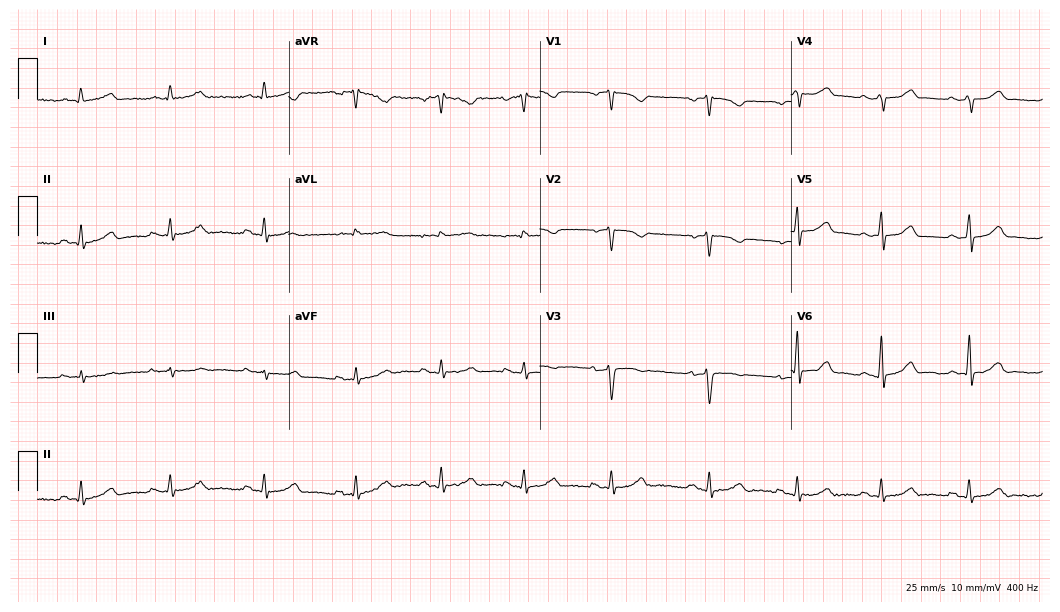
Electrocardiogram, a 44-year-old female. Overall reading on record: normal ECG.